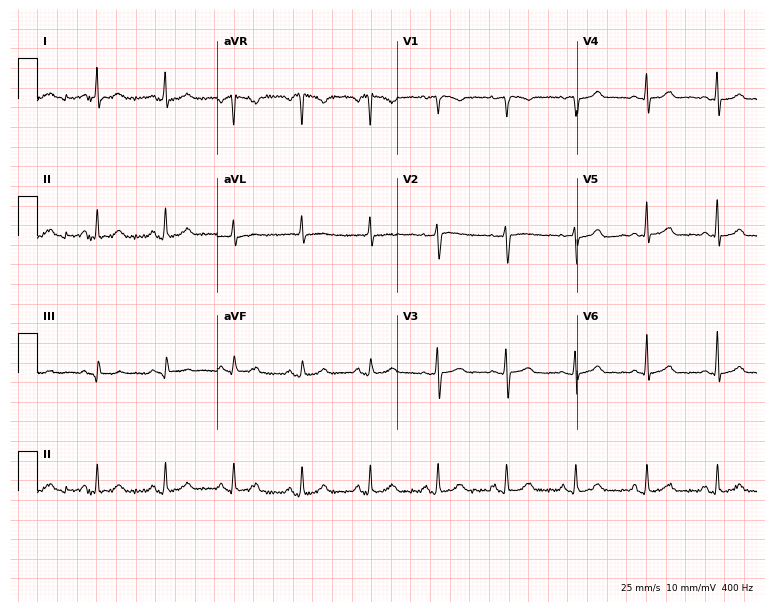
Electrocardiogram, a female, 60 years old. Overall reading on record: normal ECG.